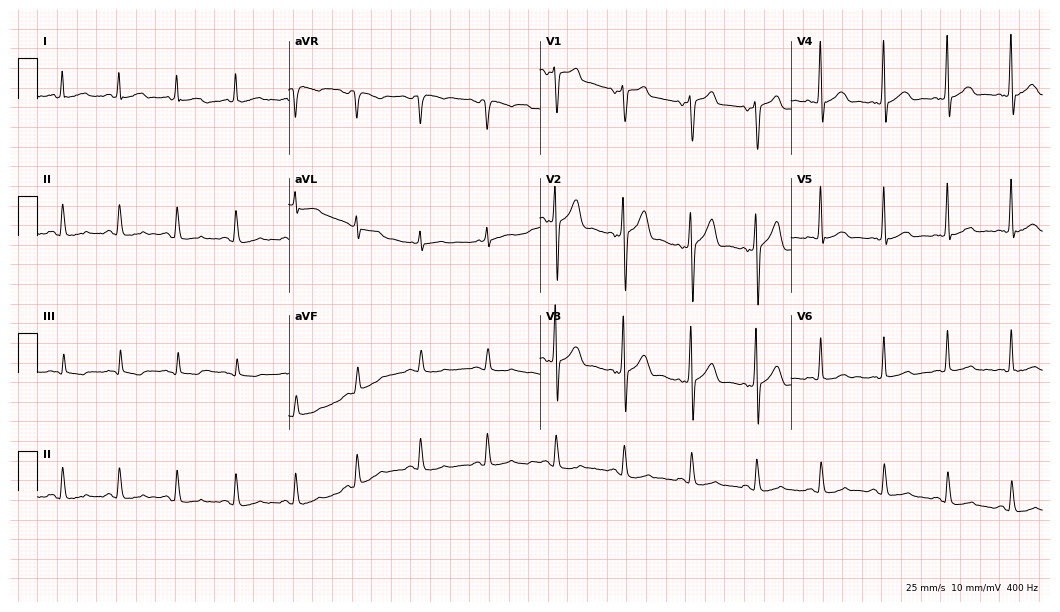
Resting 12-lead electrocardiogram (10.2-second recording at 400 Hz). Patient: a man, 56 years old. None of these six findings is recorded: first-degree AV block, right bundle branch block, left bundle branch block, sinus bradycardia, atrial fibrillation, sinus tachycardia.